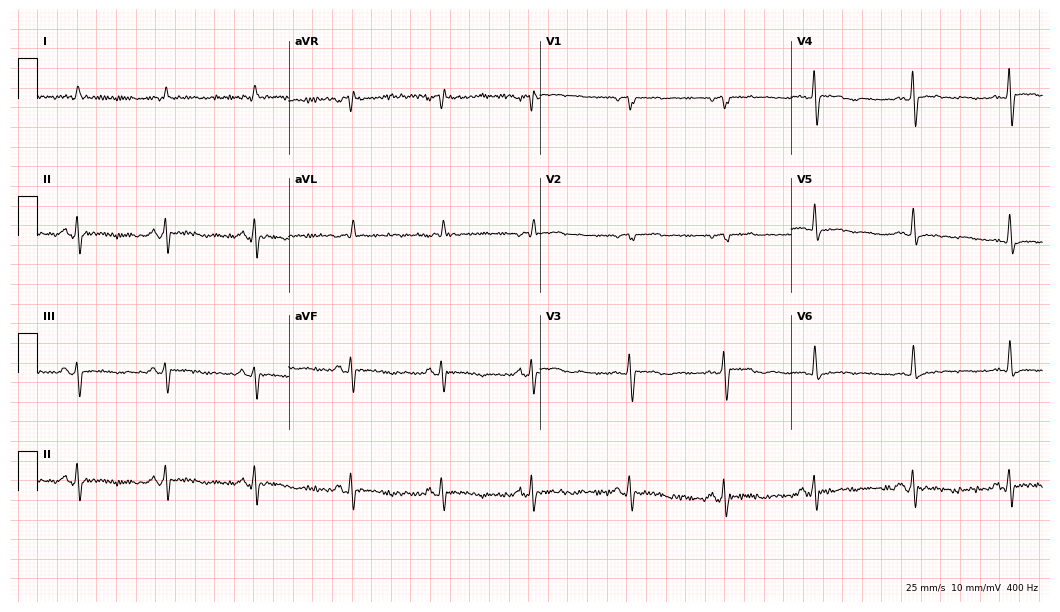
ECG — a 66-year-old male patient. Screened for six findings — first-degree AV block, right bundle branch block (RBBB), left bundle branch block (LBBB), sinus bradycardia, atrial fibrillation (AF), sinus tachycardia — none is recorded. Findings outside these six are not listed.